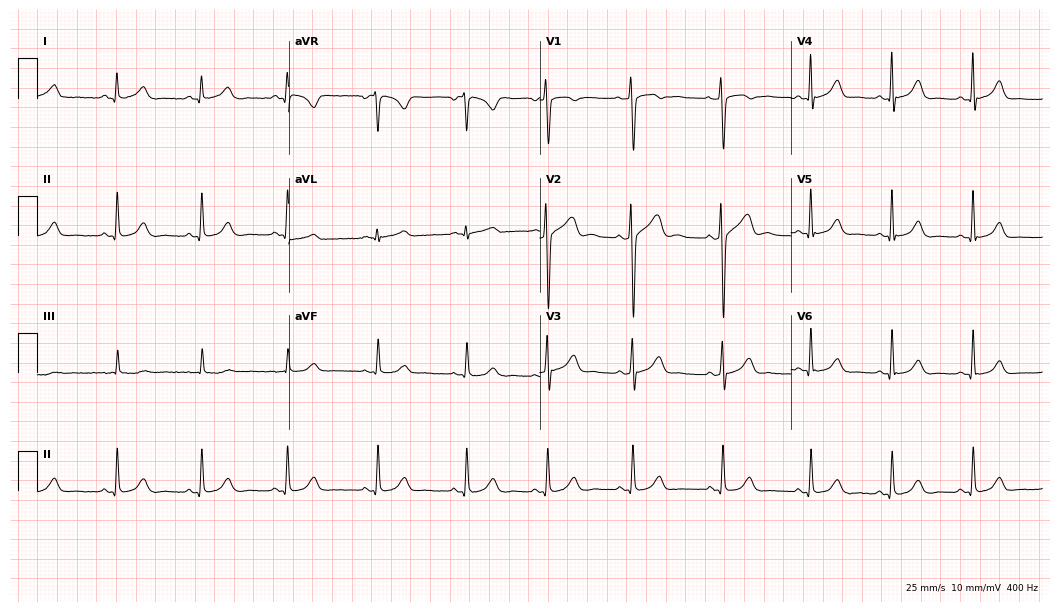
ECG — a 25-year-old woman. Labelled as a normal ECG.